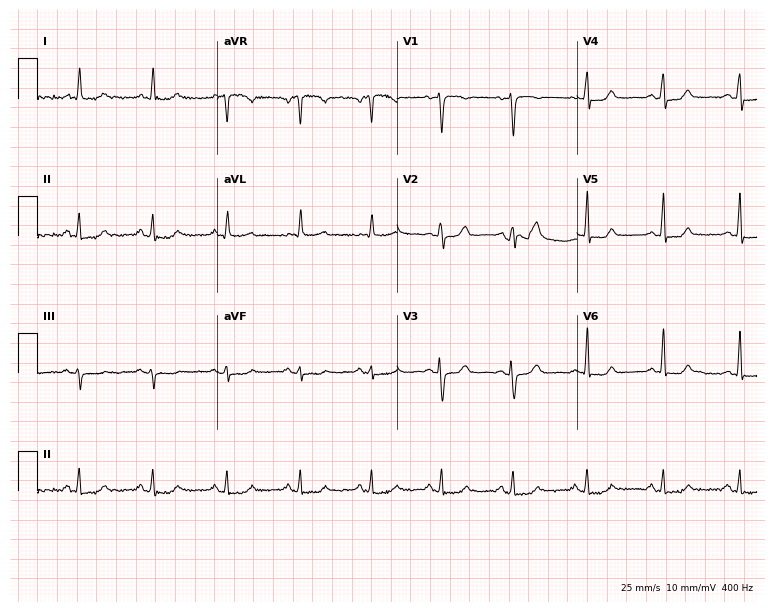
12-lead ECG from a female patient, 62 years old. Screened for six findings — first-degree AV block, right bundle branch block, left bundle branch block, sinus bradycardia, atrial fibrillation, sinus tachycardia — none is recorded.